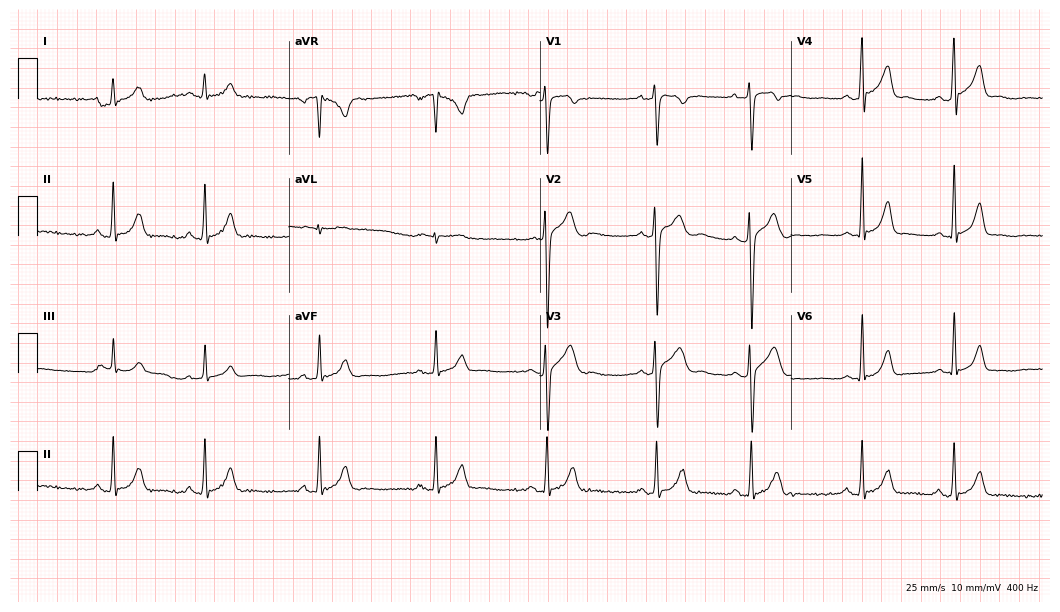
Standard 12-lead ECG recorded from a man, 17 years old (10.2-second recording at 400 Hz). None of these six findings is recorded: first-degree AV block, right bundle branch block, left bundle branch block, sinus bradycardia, atrial fibrillation, sinus tachycardia. Other findings, if any, are not listed.